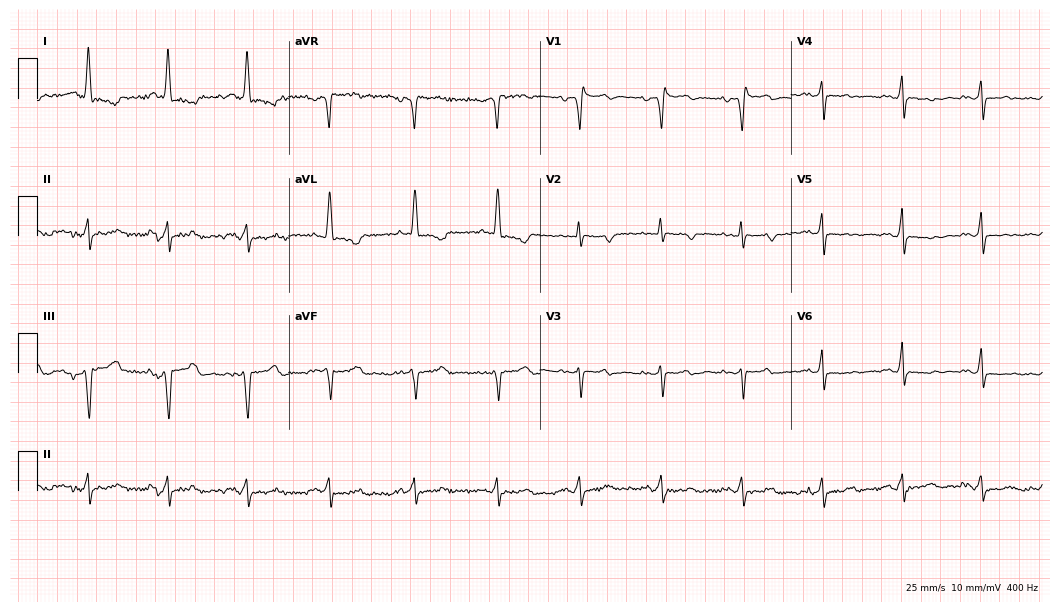
Resting 12-lead electrocardiogram. Patient: a 78-year-old female. None of these six findings is recorded: first-degree AV block, right bundle branch block, left bundle branch block, sinus bradycardia, atrial fibrillation, sinus tachycardia. Findings outside these six are not listed.